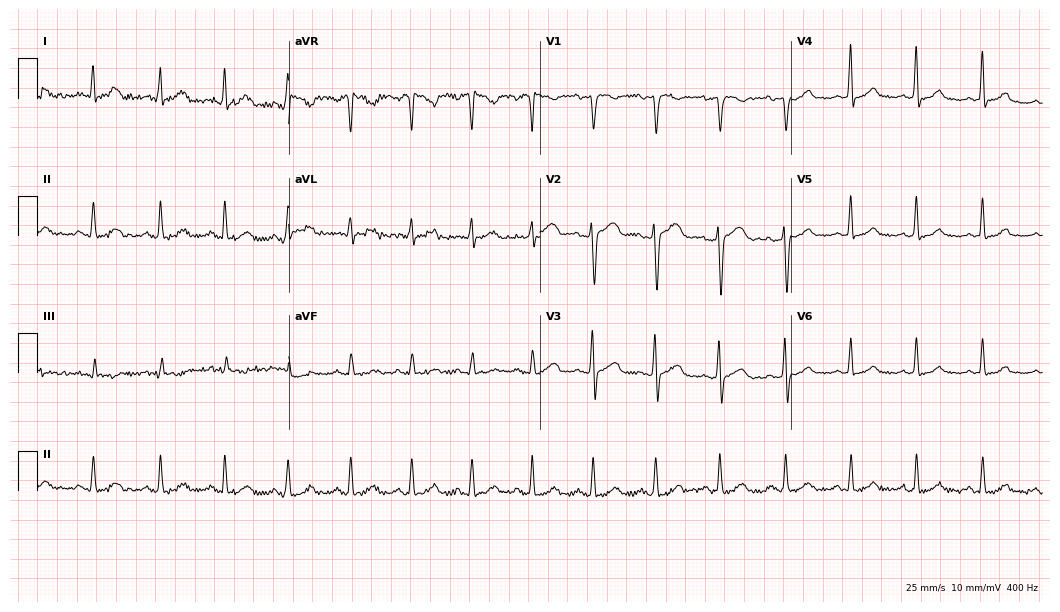
12-lead ECG (10.2-second recording at 400 Hz) from a woman, 25 years old. Labelled as a normal ECG.